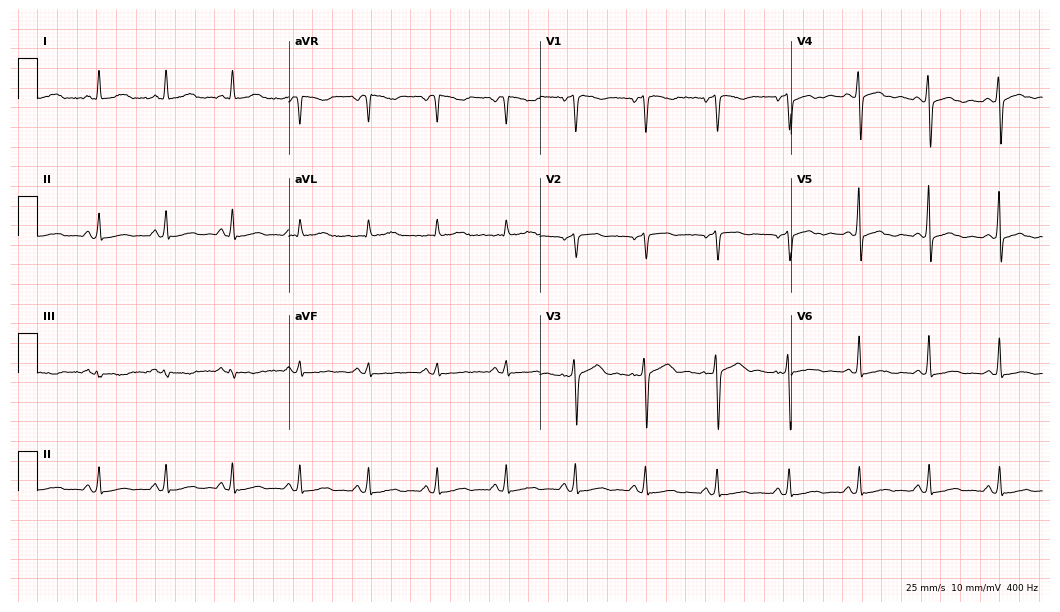
ECG — a female patient, 43 years old. Labelled as a normal ECG.